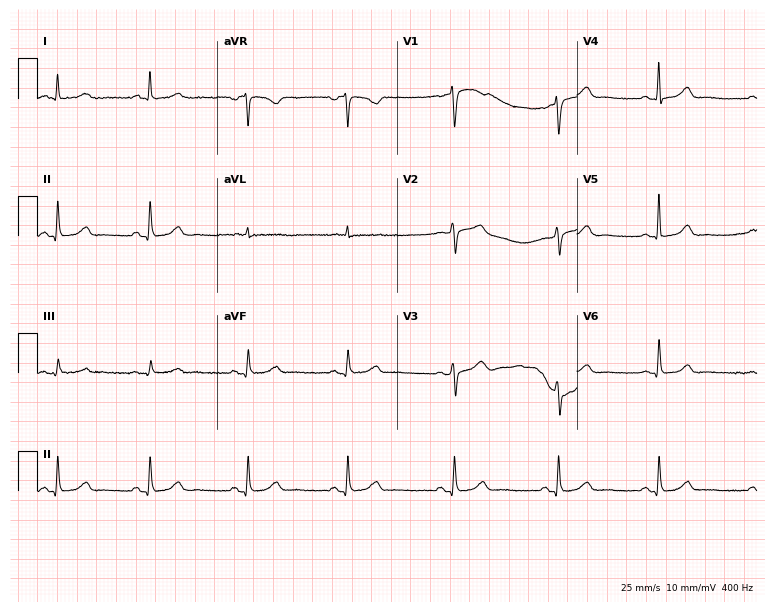
12-lead ECG (7.3-second recording at 400 Hz) from a 40-year-old female. Screened for six findings — first-degree AV block, right bundle branch block, left bundle branch block, sinus bradycardia, atrial fibrillation, sinus tachycardia — none is recorded.